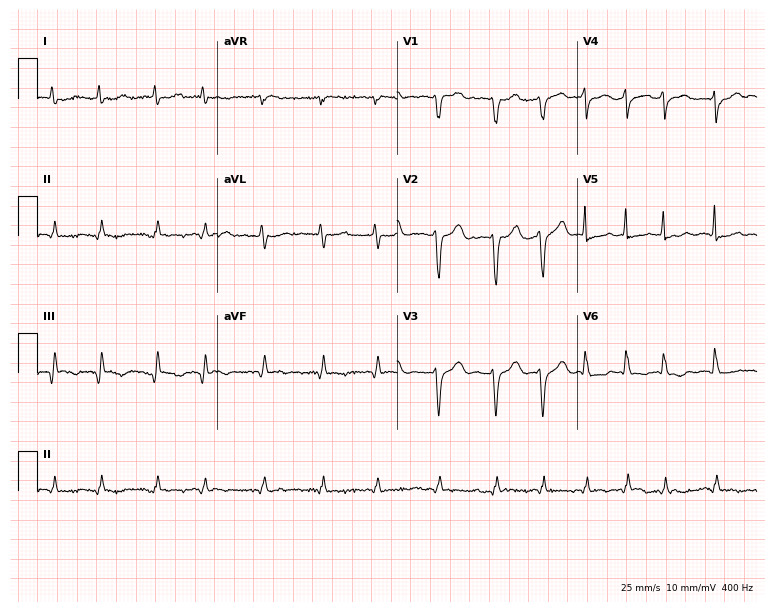
Electrocardiogram, a 72-year-old man. Interpretation includes atrial fibrillation.